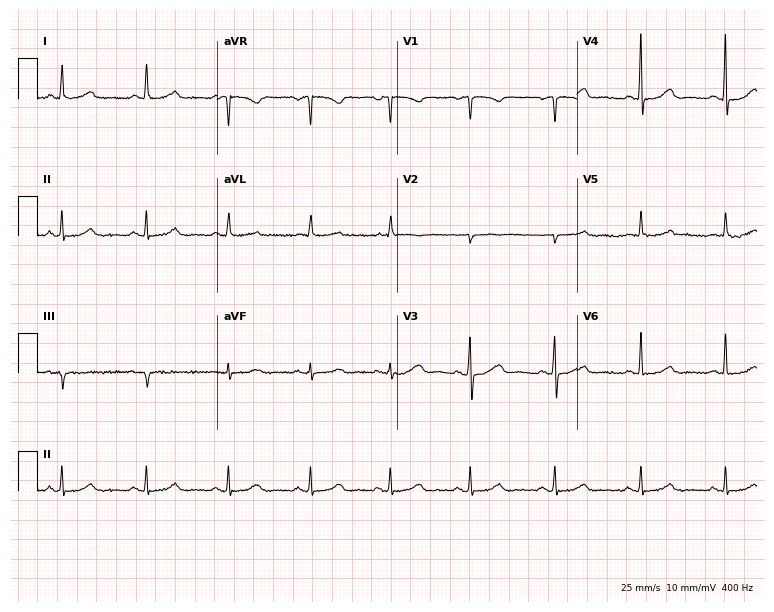
12-lead ECG from a female, 45 years old. Screened for six findings — first-degree AV block, right bundle branch block, left bundle branch block, sinus bradycardia, atrial fibrillation, sinus tachycardia — none is recorded.